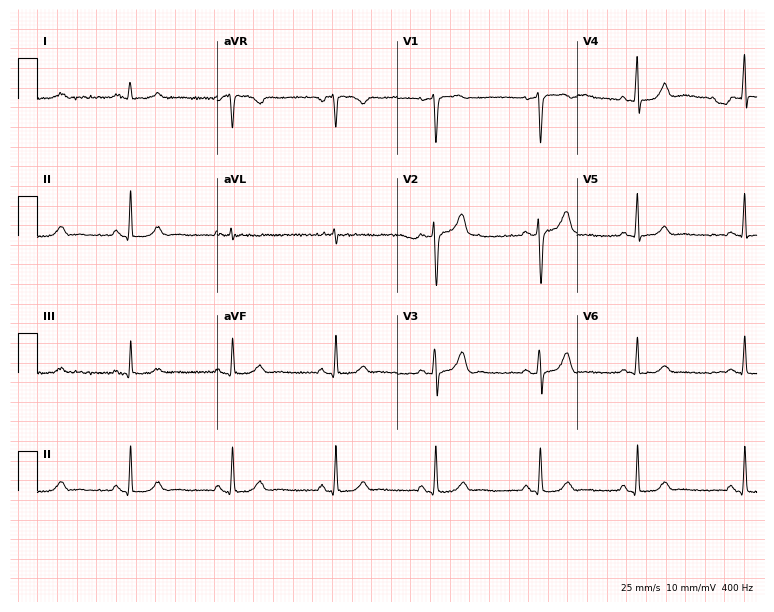
Standard 12-lead ECG recorded from a 46-year-old female patient. Read as a normal ECG.